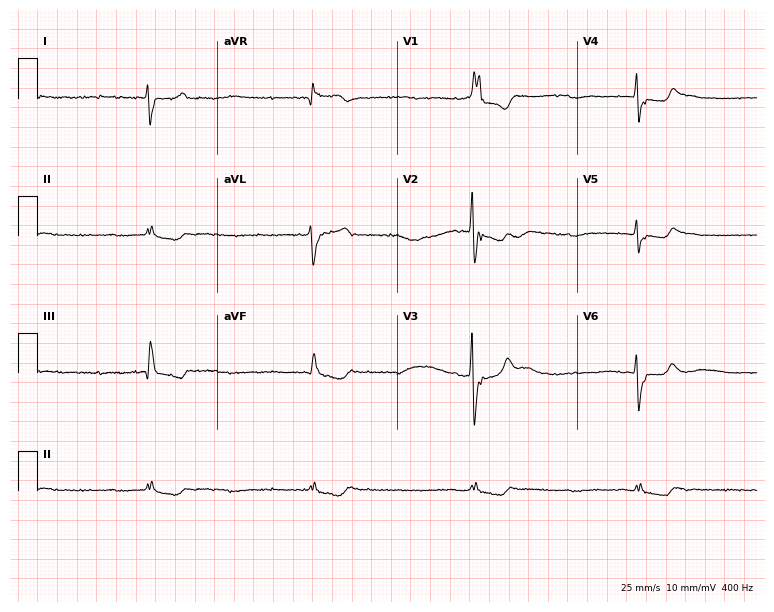
12-lead ECG from a female, 85 years old. Findings include right bundle branch block, atrial fibrillation.